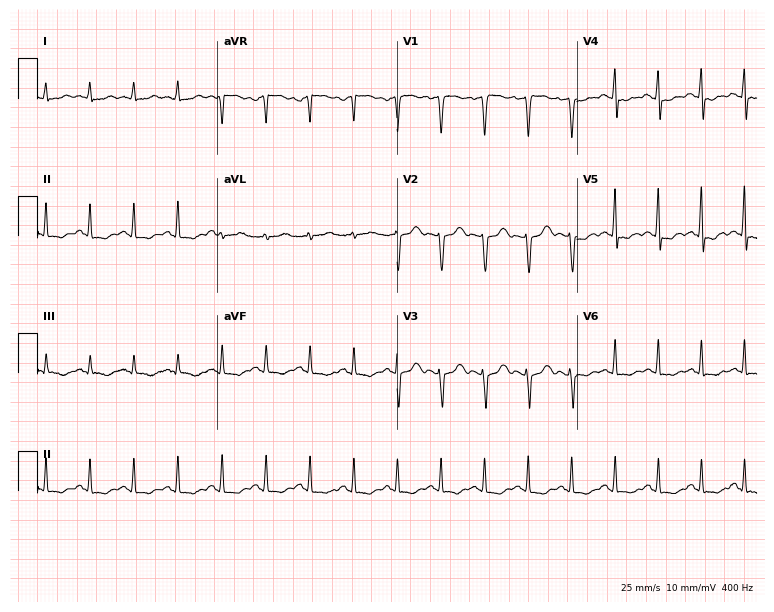
12-lead ECG from a female patient, 34 years old (7.3-second recording at 400 Hz). No first-degree AV block, right bundle branch block (RBBB), left bundle branch block (LBBB), sinus bradycardia, atrial fibrillation (AF) or sinus tachycardia recorded for this tracing. Only these six findings were labelled.